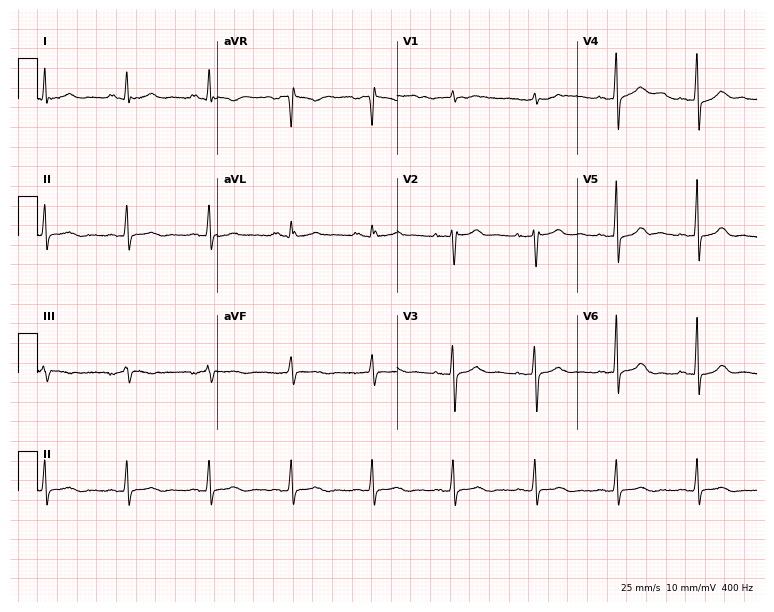
ECG — a 52-year-old female patient. Labelled as a normal ECG.